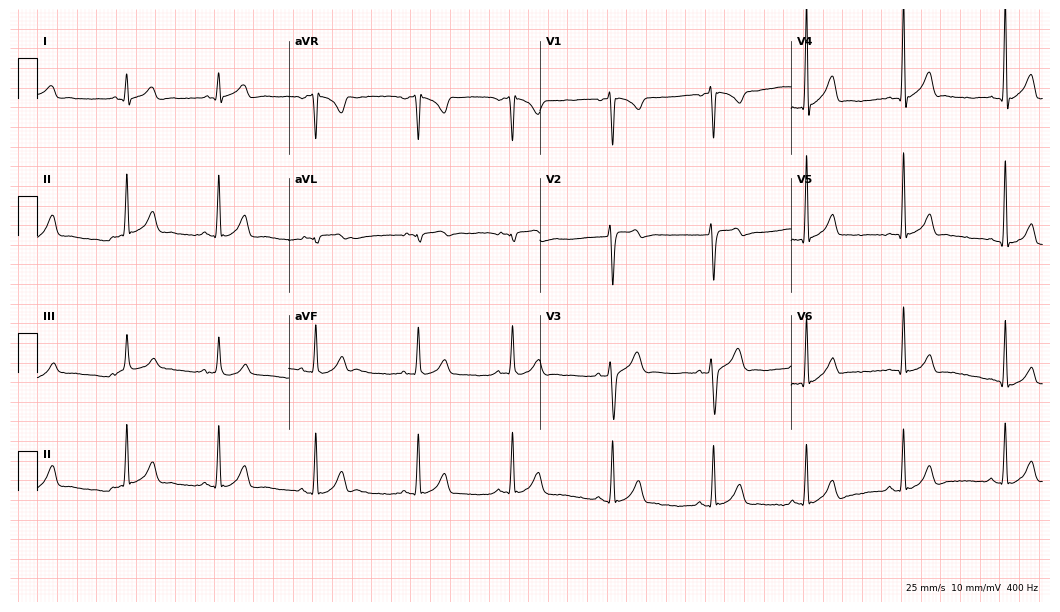
12-lead ECG from a 19-year-old man (10.2-second recording at 400 Hz). Recorded interpretation: within normal limits.